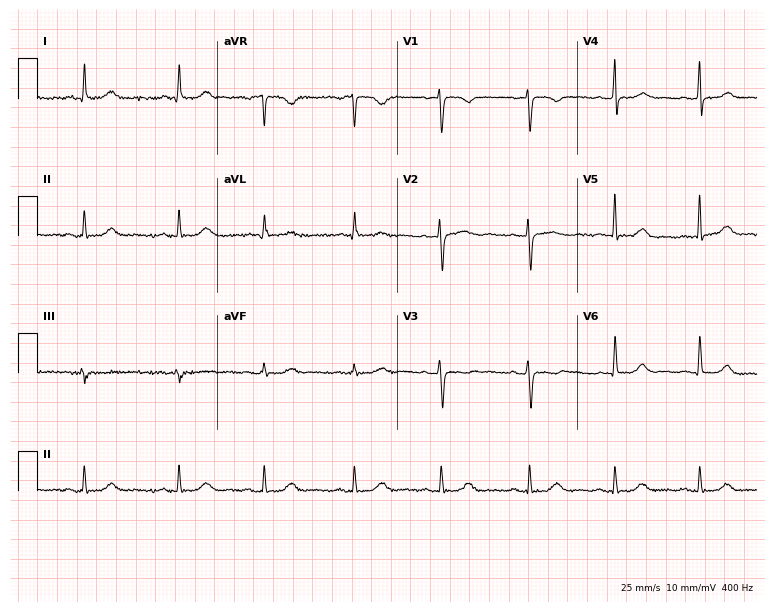
Electrocardiogram (7.3-second recording at 400 Hz), a 46-year-old woman. Of the six screened findings (first-degree AV block, right bundle branch block, left bundle branch block, sinus bradycardia, atrial fibrillation, sinus tachycardia), none is recorded.